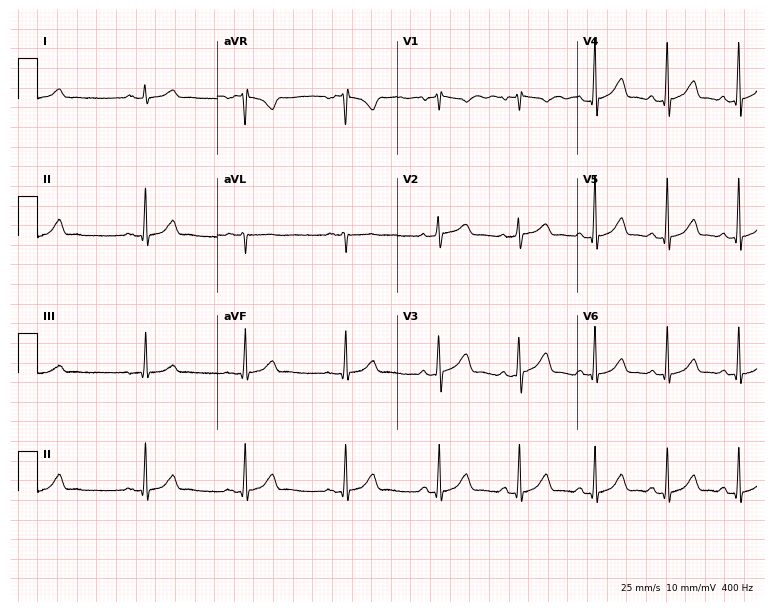
12-lead ECG from a 60-year-old male (7.3-second recording at 400 Hz). Recorded interpretation: within normal limits.